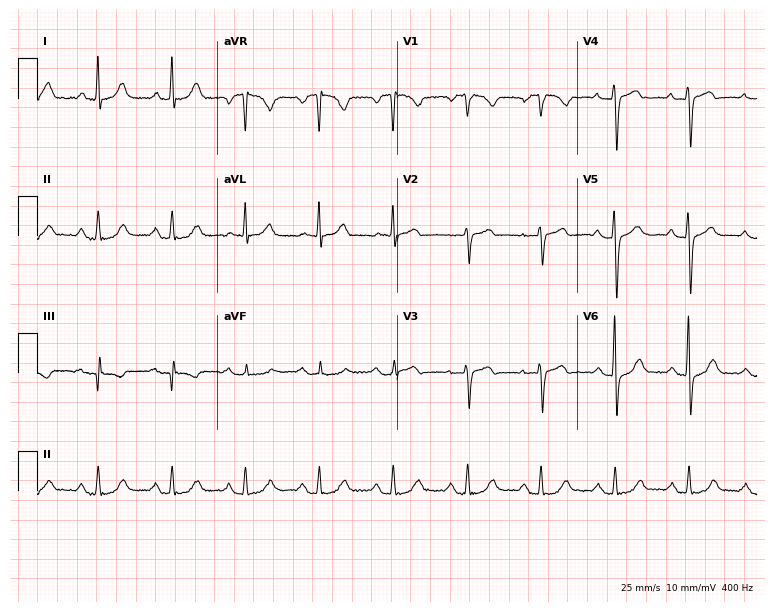
12-lead ECG from a 72-year-old female patient. No first-degree AV block, right bundle branch block (RBBB), left bundle branch block (LBBB), sinus bradycardia, atrial fibrillation (AF) or sinus tachycardia recorded for this tracing.